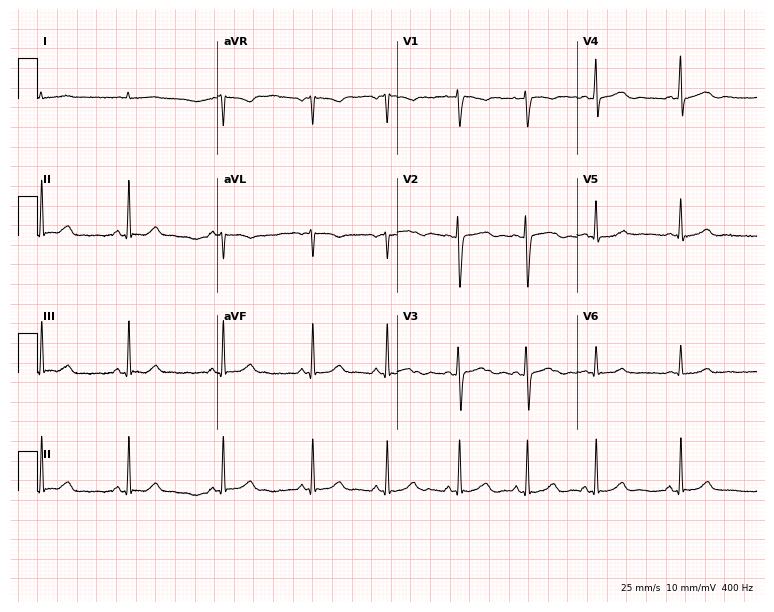
Standard 12-lead ECG recorded from a 30-year-old female (7.3-second recording at 400 Hz). None of these six findings is recorded: first-degree AV block, right bundle branch block (RBBB), left bundle branch block (LBBB), sinus bradycardia, atrial fibrillation (AF), sinus tachycardia. Only these six findings were labelled.